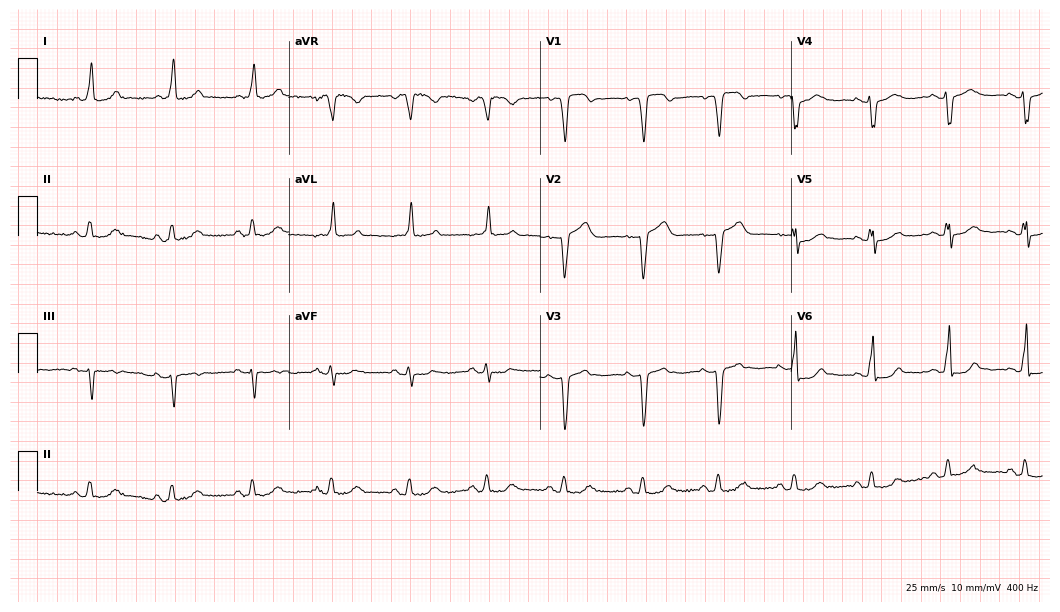
ECG — a female, 63 years old. Screened for six findings — first-degree AV block, right bundle branch block, left bundle branch block, sinus bradycardia, atrial fibrillation, sinus tachycardia — none is recorded. Only these six findings were labelled.